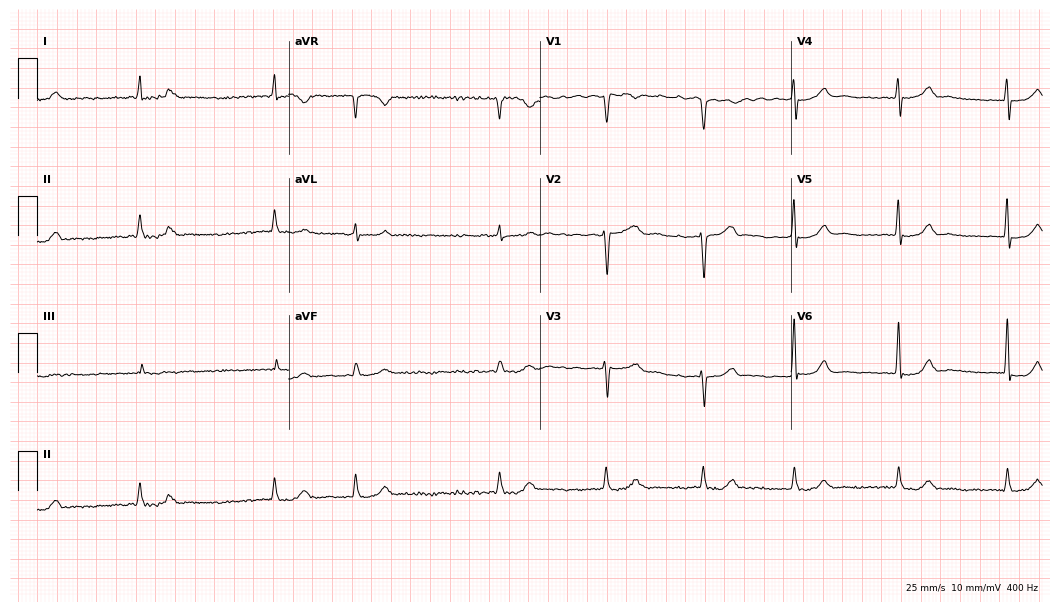
12-lead ECG from a male, 83 years old. Screened for six findings — first-degree AV block, right bundle branch block (RBBB), left bundle branch block (LBBB), sinus bradycardia, atrial fibrillation (AF), sinus tachycardia — none is recorded.